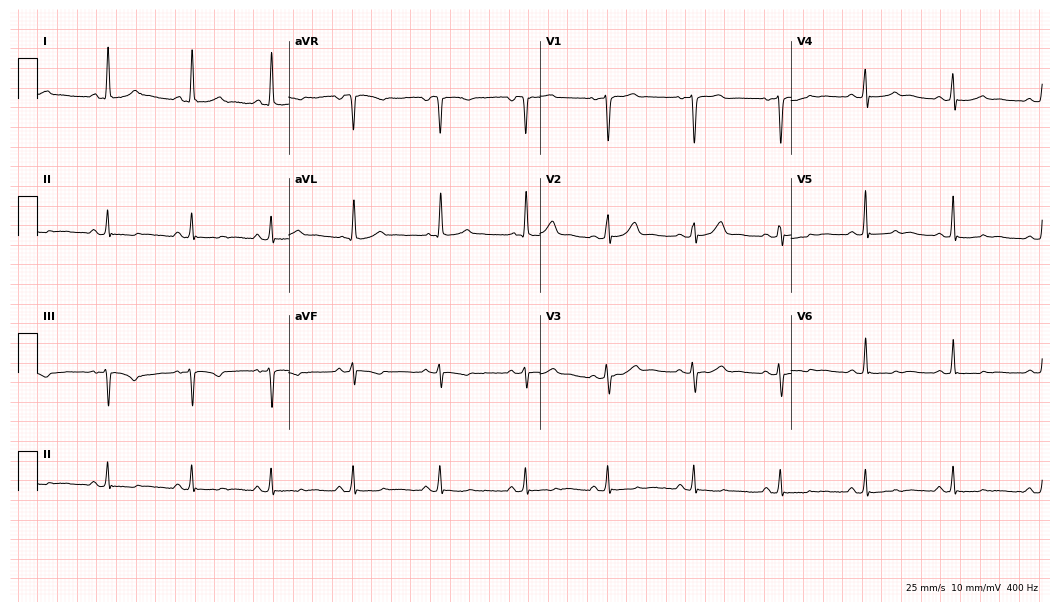
12-lead ECG from a woman, 51 years old. Screened for six findings — first-degree AV block, right bundle branch block, left bundle branch block, sinus bradycardia, atrial fibrillation, sinus tachycardia — none is recorded. Other findings, if any, are not listed.